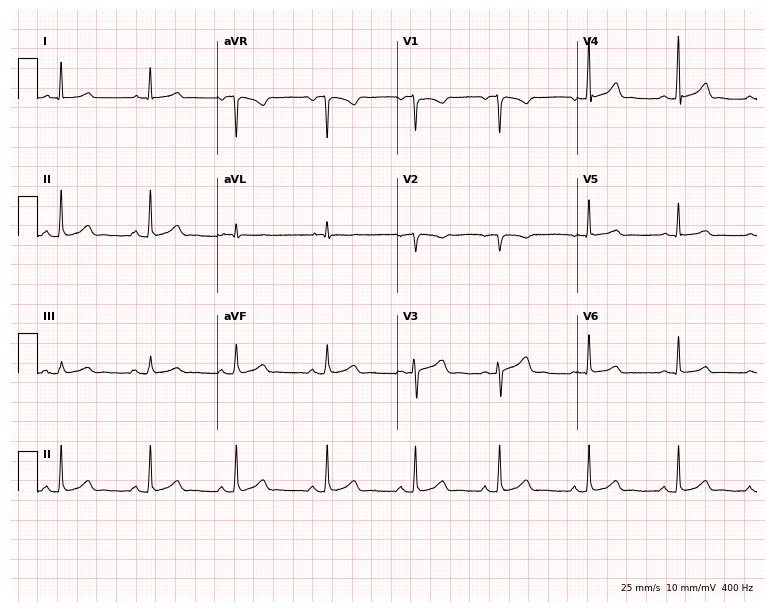
12-lead ECG from a 29-year-old woman. Screened for six findings — first-degree AV block, right bundle branch block, left bundle branch block, sinus bradycardia, atrial fibrillation, sinus tachycardia — none is recorded. Only these six findings were labelled.